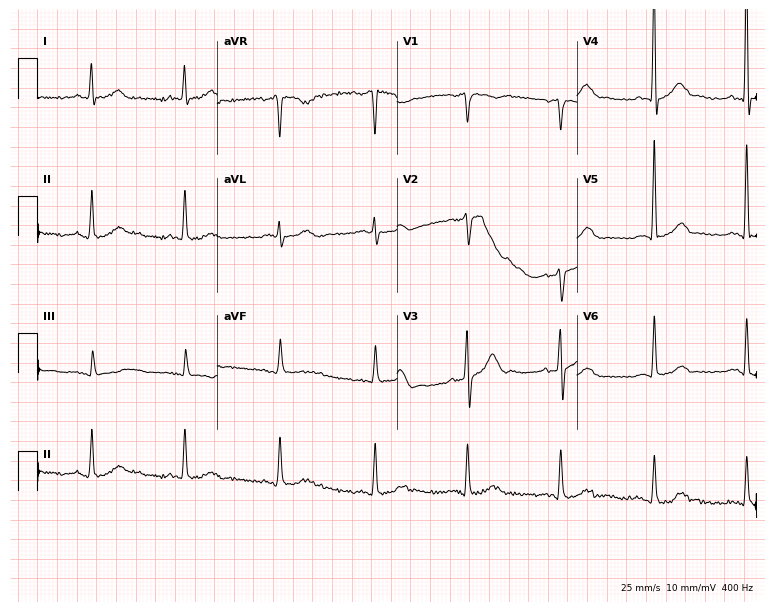
Electrocardiogram, a 63-year-old man. Of the six screened findings (first-degree AV block, right bundle branch block, left bundle branch block, sinus bradycardia, atrial fibrillation, sinus tachycardia), none is recorded.